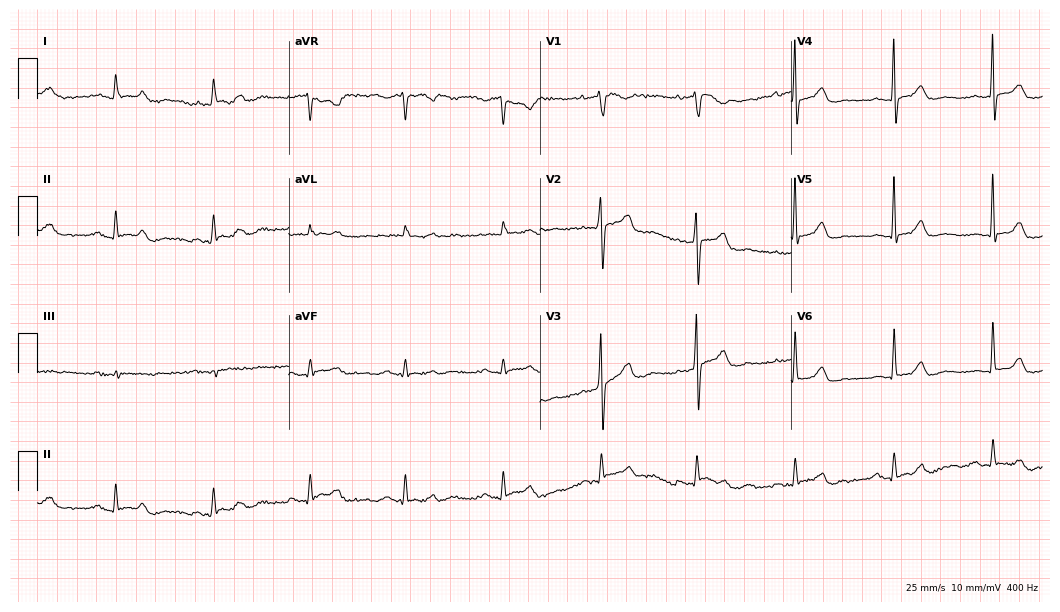
12-lead ECG (10.2-second recording at 400 Hz) from a 77-year-old male. Screened for six findings — first-degree AV block, right bundle branch block, left bundle branch block, sinus bradycardia, atrial fibrillation, sinus tachycardia — none is recorded. Findings outside these six are not listed.